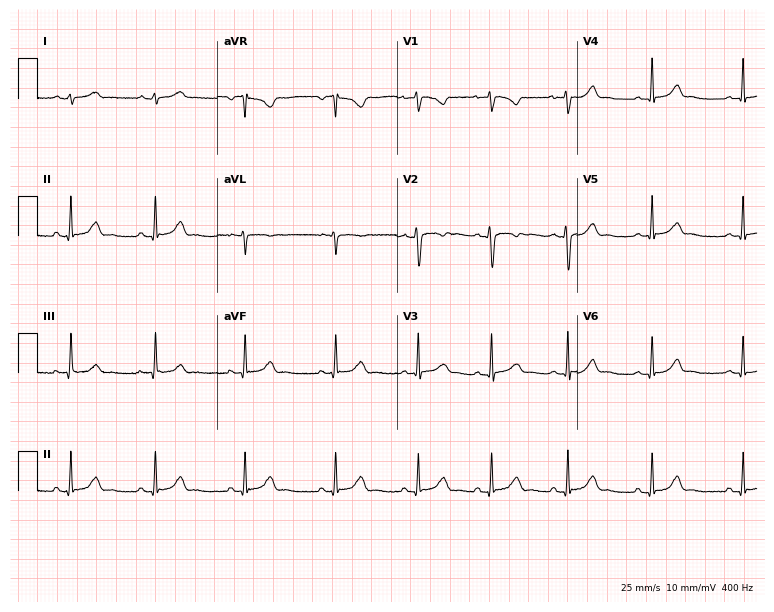
Standard 12-lead ECG recorded from a 17-year-old woman. None of these six findings is recorded: first-degree AV block, right bundle branch block (RBBB), left bundle branch block (LBBB), sinus bradycardia, atrial fibrillation (AF), sinus tachycardia.